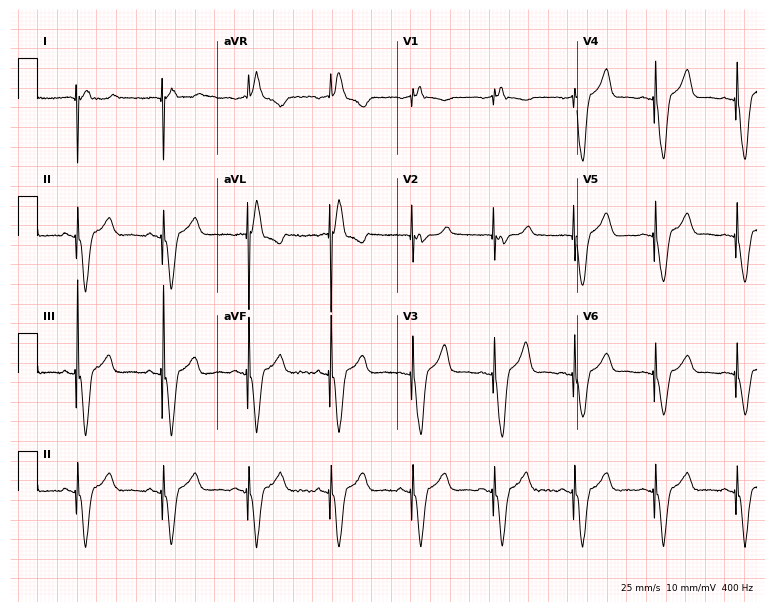
Resting 12-lead electrocardiogram (7.3-second recording at 400 Hz). Patient: an 84-year-old woman. None of these six findings is recorded: first-degree AV block, right bundle branch block, left bundle branch block, sinus bradycardia, atrial fibrillation, sinus tachycardia. Only these six findings were labelled.